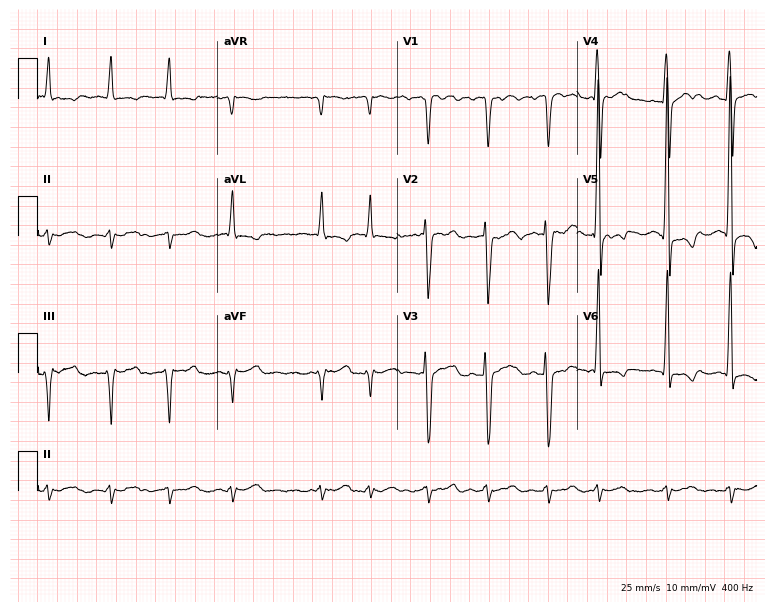
Electrocardiogram, a male, 66 years old. Interpretation includes atrial fibrillation.